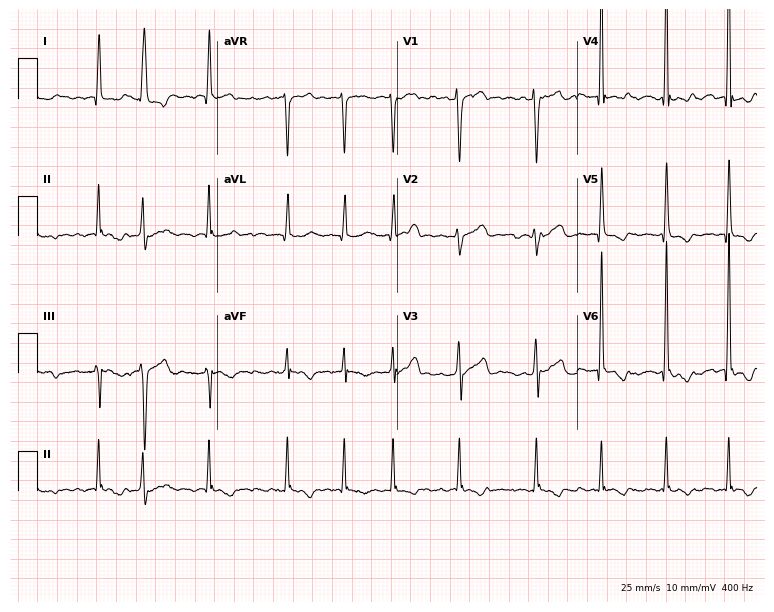
12-lead ECG from a 36-year-old male patient (7.3-second recording at 400 Hz). Shows atrial fibrillation.